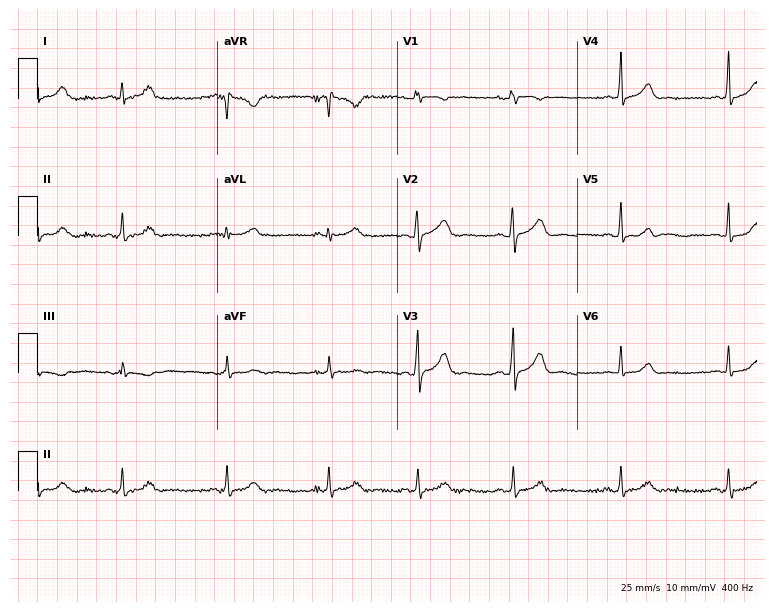
Standard 12-lead ECG recorded from a female patient, 21 years old (7.3-second recording at 400 Hz). None of these six findings is recorded: first-degree AV block, right bundle branch block (RBBB), left bundle branch block (LBBB), sinus bradycardia, atrial fibrillation (AF), sinus tachycardia. Findings outside these six are not listed.